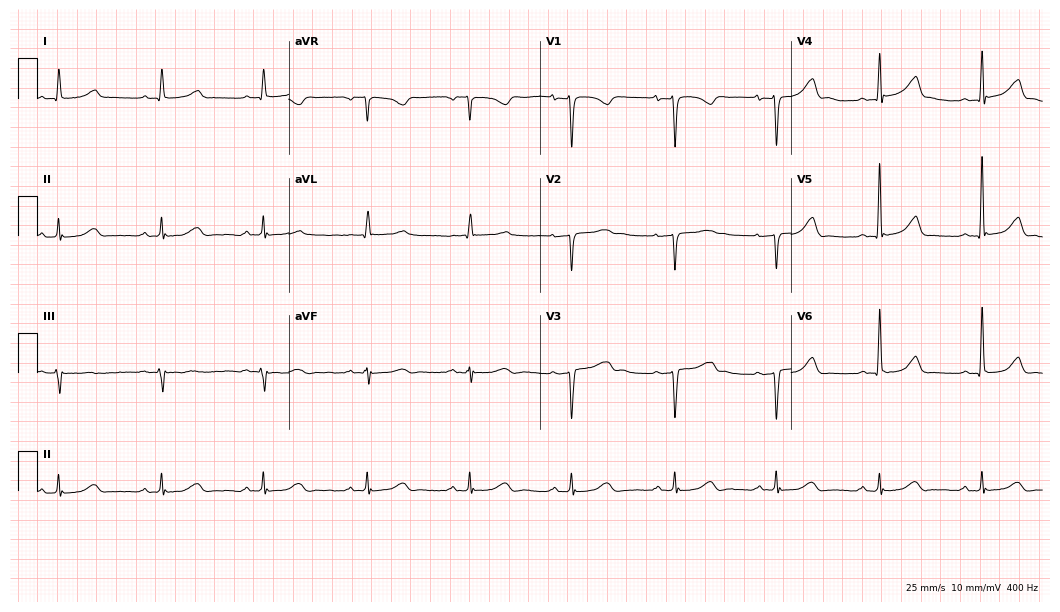
Standard 12-lead ECG recorded from a 50-year-old female patient (10.2-second recording at 400 Hz). Read as a normal ECG.